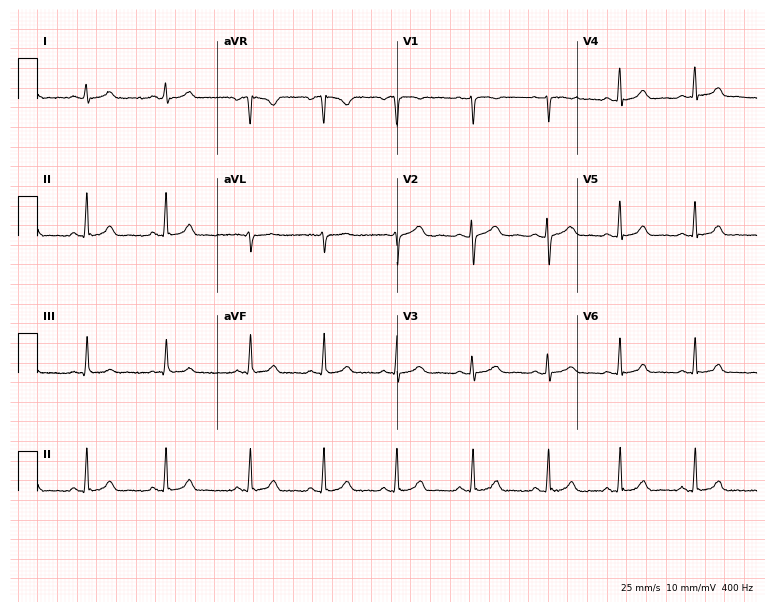
Electrocardiogram, a female patient, 19 years old. Overall reading on record: normal ECG.